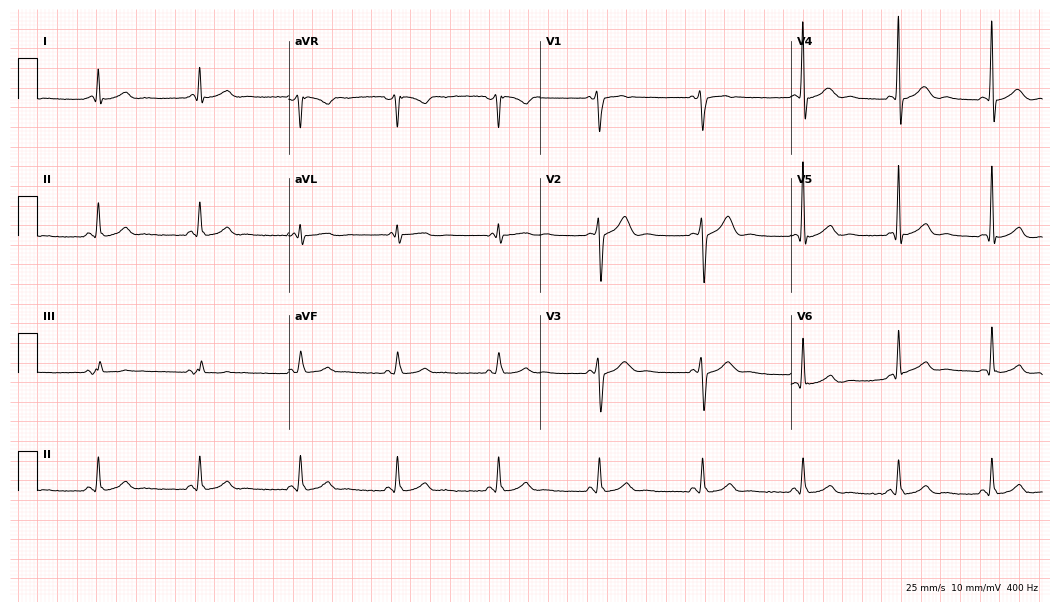
Standard 12-lead ECG recorded from a male, 49 years old (10.2-second recording at 400 Hz). None of these six findings is recorded: first-degree AV block, right bundle branch block, left bundle branch block, sinus bradycardia, atrial fibrillation, sinus tachycardia. Other findings, if any, are not listed.